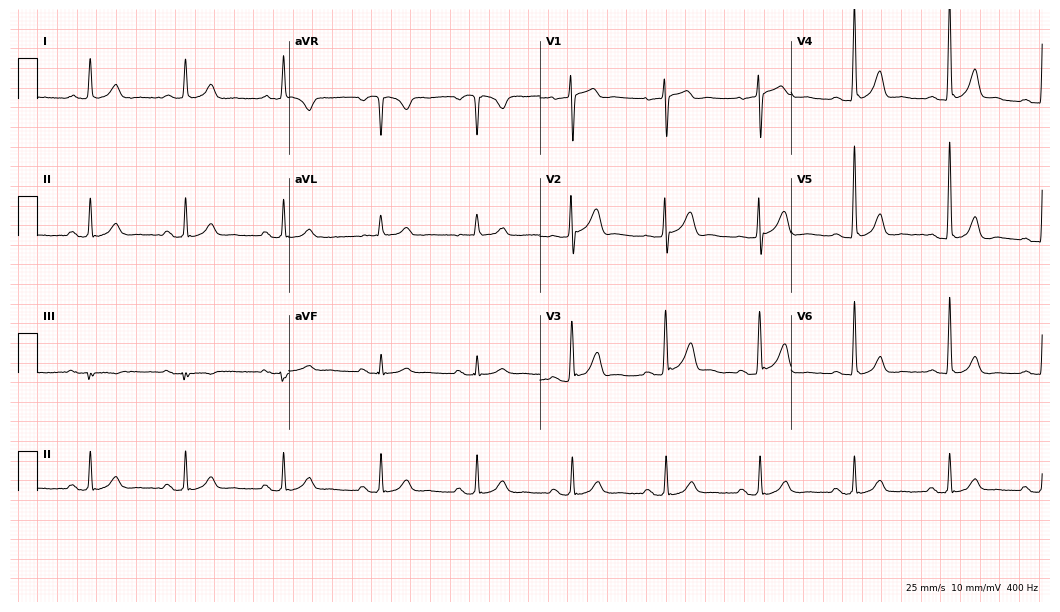
Standard 12-lead ECG recorded from a male patient, 61 years old. Read as a normal ECG.